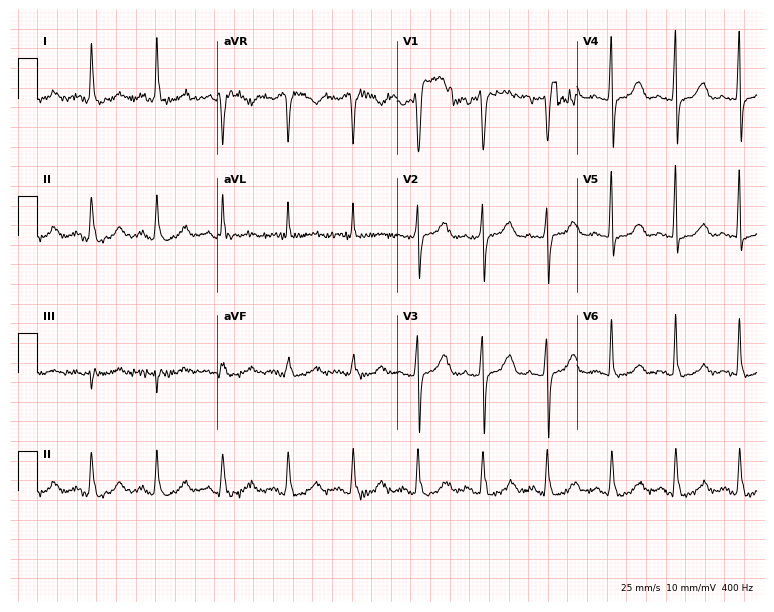
Electrocardiogram, a female, 60 years old. Overall reading on record: normal ECG.